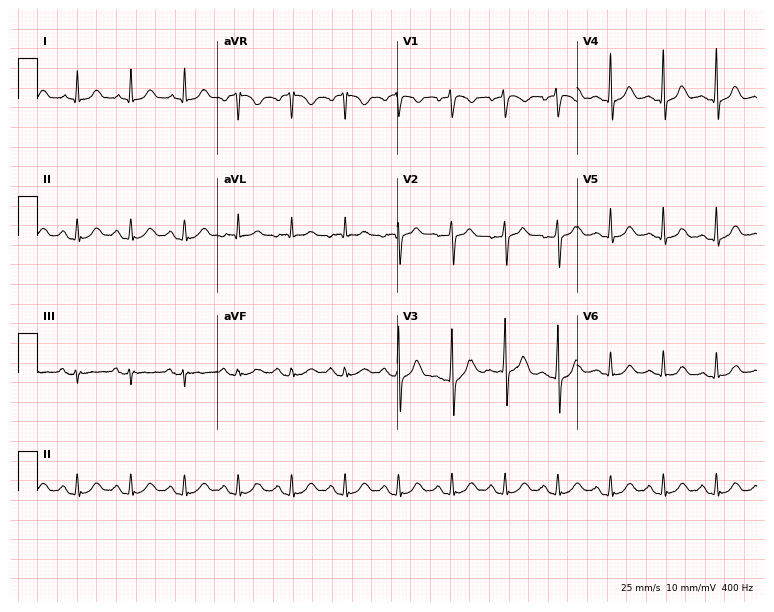
12-lead ECG from a male patient, 46 years old. Findings include sinus tachycardia (a sinus rate of 100 beats per minute or more).